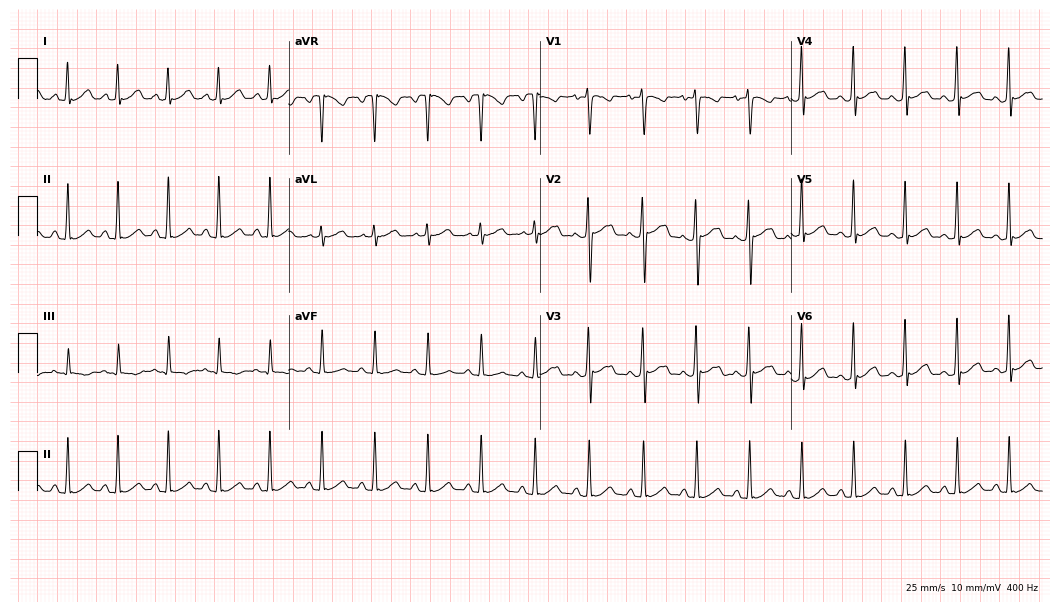
ECG (10.2-second recording at 400 Hz) — a 24-year-old female patient. Findings include sinus tachycardia (a sinus rate of 100 beats per minute or more).